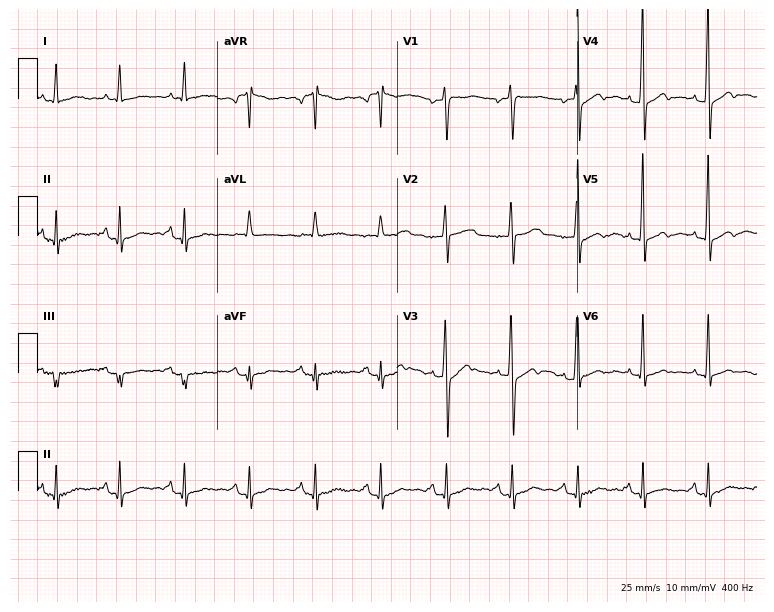
ECG — a male, 55 years old. Screened for six findings — first-degree AV block, right bundle branch block, left bundle branch block, sinus bradycardia, atrial fibrillation, sinus tachycardia — none is recorded.